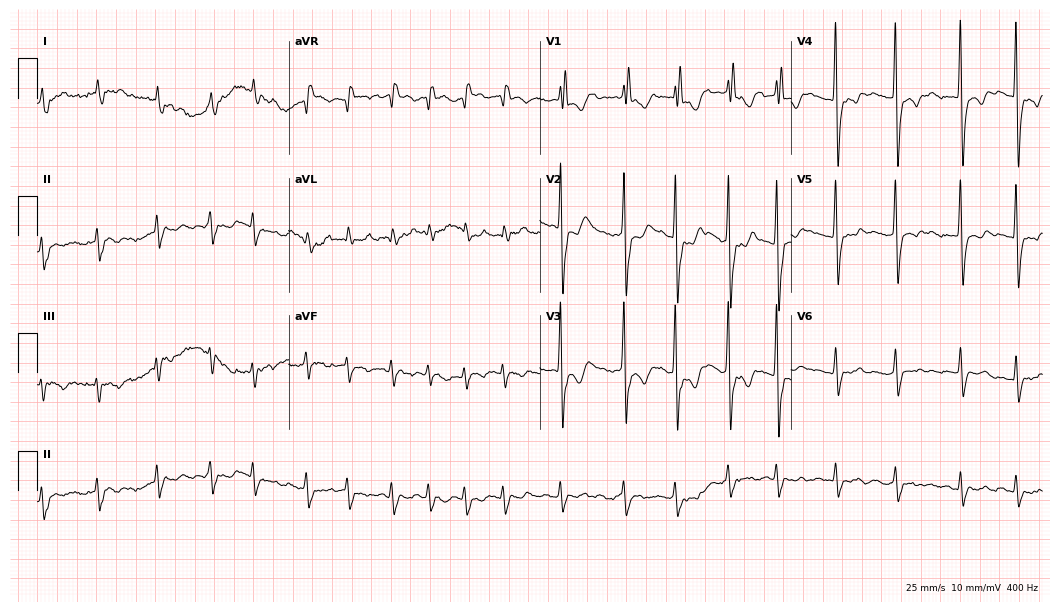
12-lead ECG from an 80-year-old female patient. Findings include atrial fibrillation, sinus tachycardia (a sinus rate of 100 beats per minute or more).